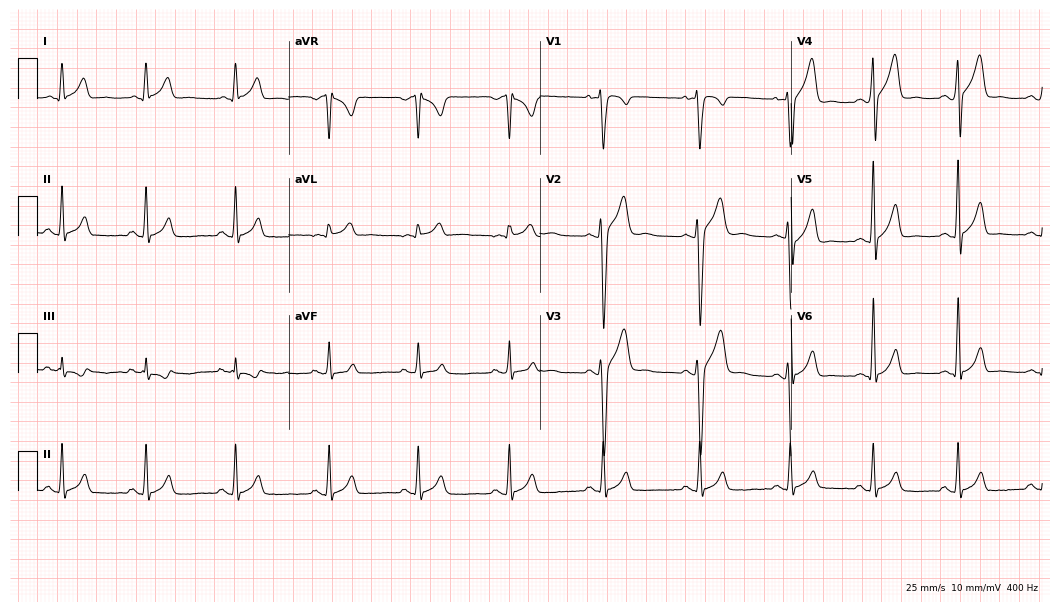
12-lead ECG from an 18-year-old male patient. No first-degree AV block, right bundle branch block (RBBB), left bundle branch block (LBBB), sinus bradycardia, atrial fibrillation (AF) or sinus tachycardia recorded for this tracing. Other findings, if any, are not listed.